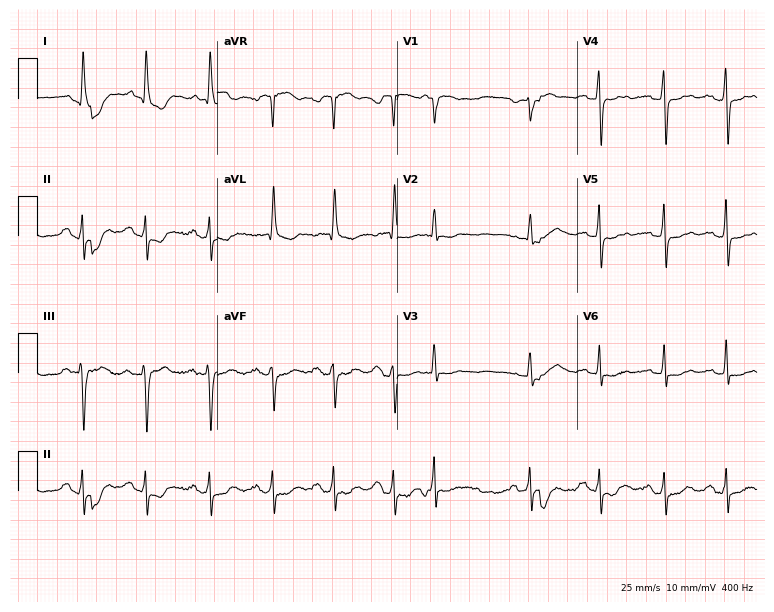
Electrocardiogram (7.3-second recording at 400 Hz), a female, 70 years old. Of the six screened findings (first-degree AV block, right bundle branch block, left bundle branch block, sinus bradycardia, atrial fibrillation, sinus tachycardia), none is recorded. Other findings, if any, are not listed.